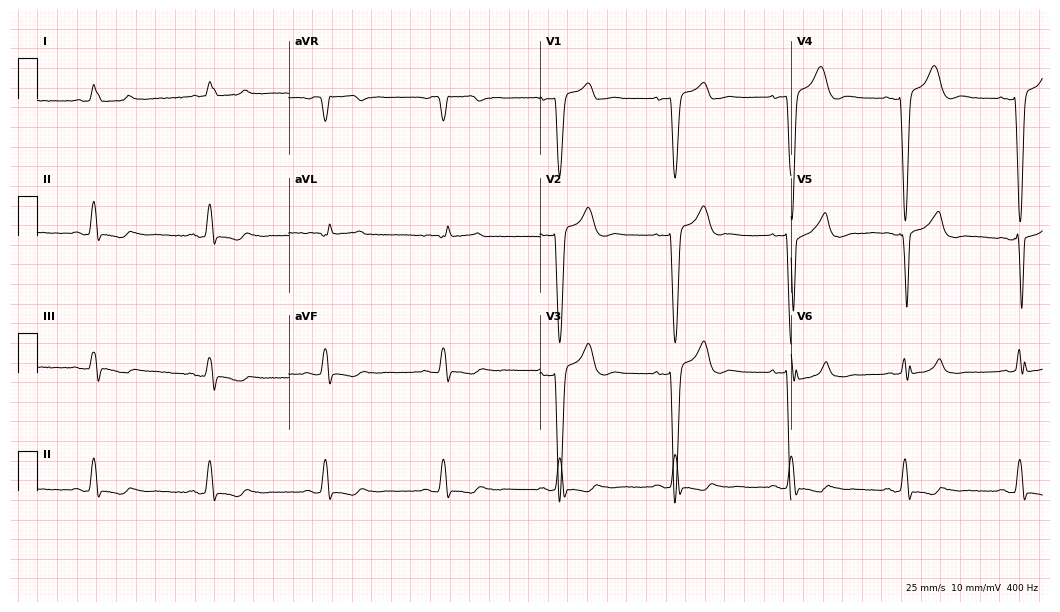
12-lead ECG from a male, 84 years old. Shows left bundle branch block.